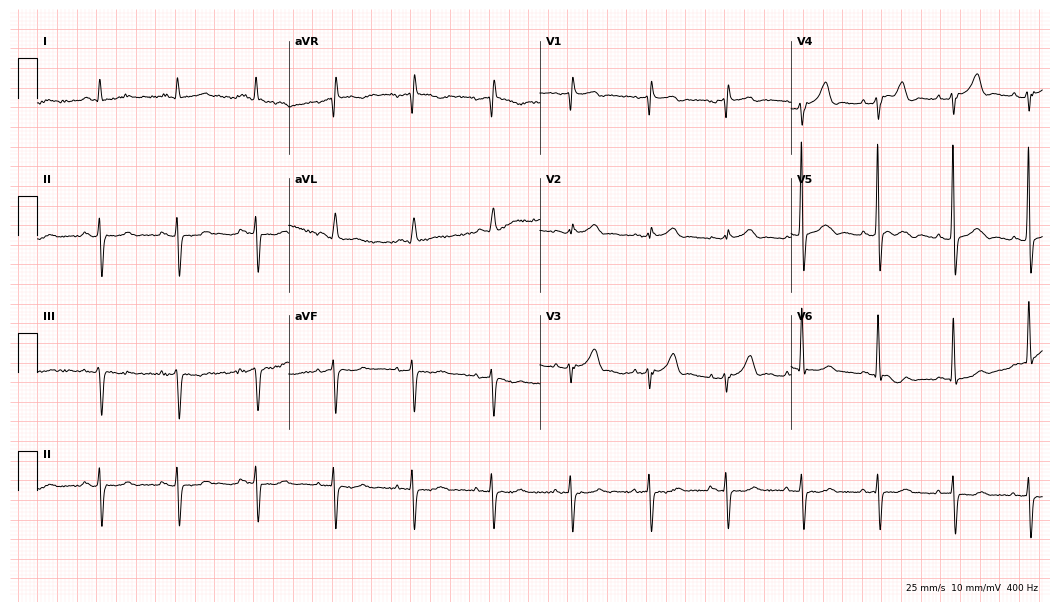
12-lead ECG (10.2-second recording at 400 Hz) from an 83-year-old male. Labelled as a normal ECG.